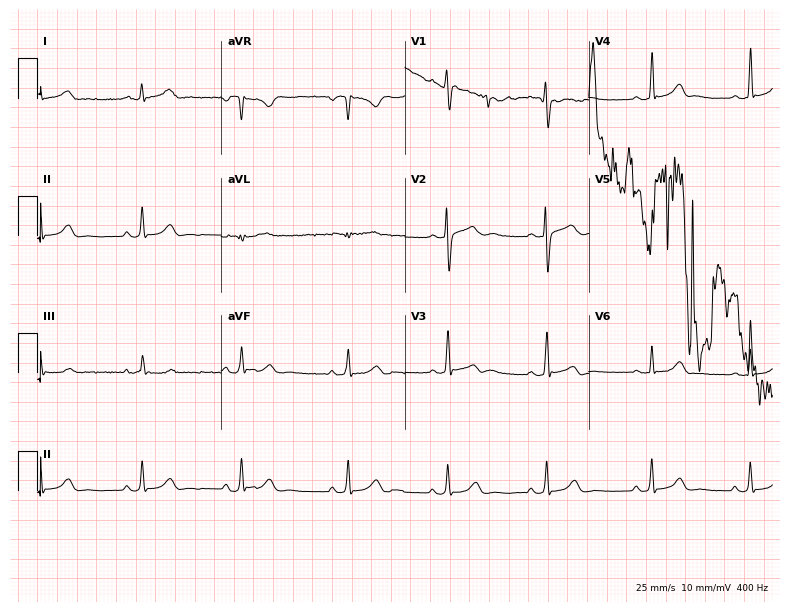
Electrocardiogram, a 17-year-old female. Of the six screened findings (first-degree AV block, right bundle branch block, left bundle branch block, sinus bradycardia, atrial fibrillation, sinus tachycardia), none is recorded.